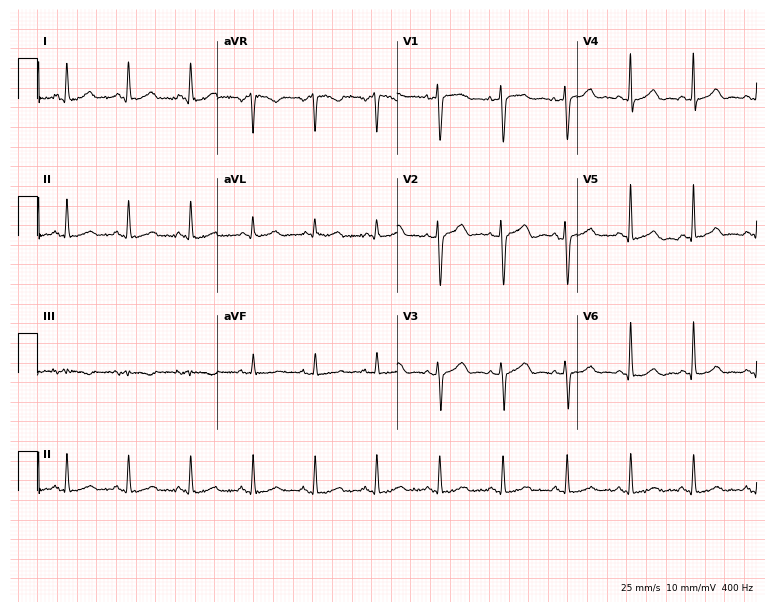
Standard 12-lead ECG recorded from a 39-year-old female (7.3-second recording at 400 Hz). Read as a normal ECG.